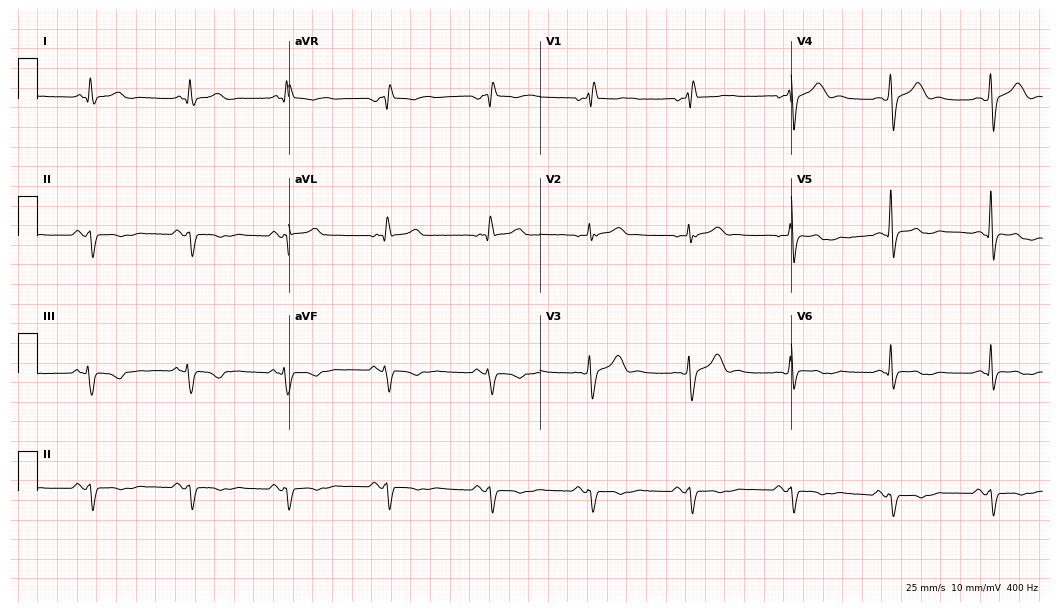
12-lead ECG from a man, 45 years old. Screened for six findings — first-degree AV block, right bundle branch block, left bundle branch block, sinus bradycardia, atrial fibrillation, sinus tachycardia — none is recorded. Other findings, if any, are not listed.